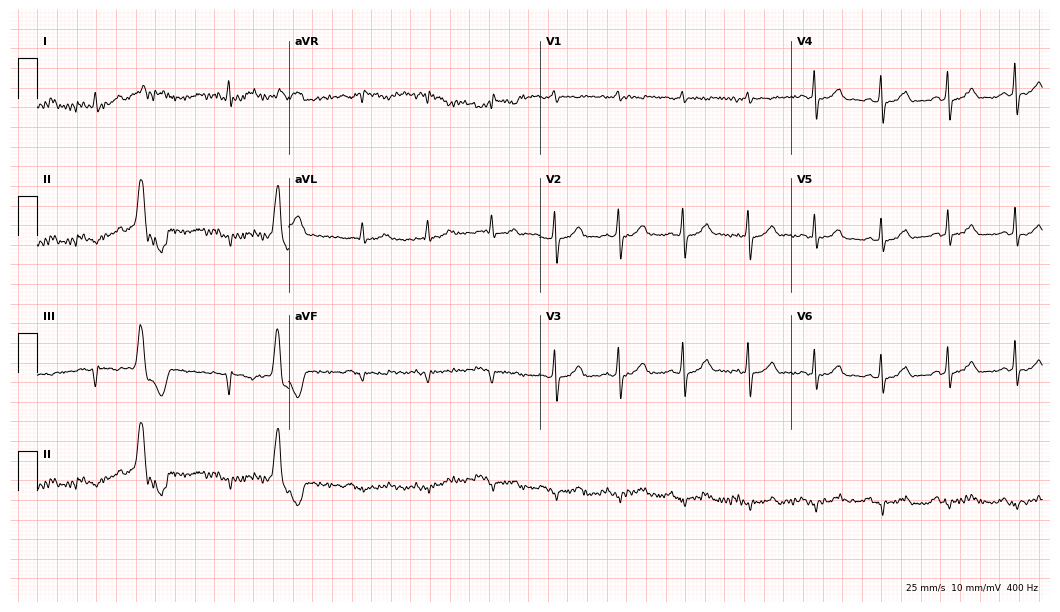
ECG — a 62-year-old man. Screened for six findings — first-degree AV block, right bundle branch block (RBBB), left bundle branch block (LBBB), sinus bradycardia, atrial fibrillation (AF), sinus tachycardia — none is recorded.